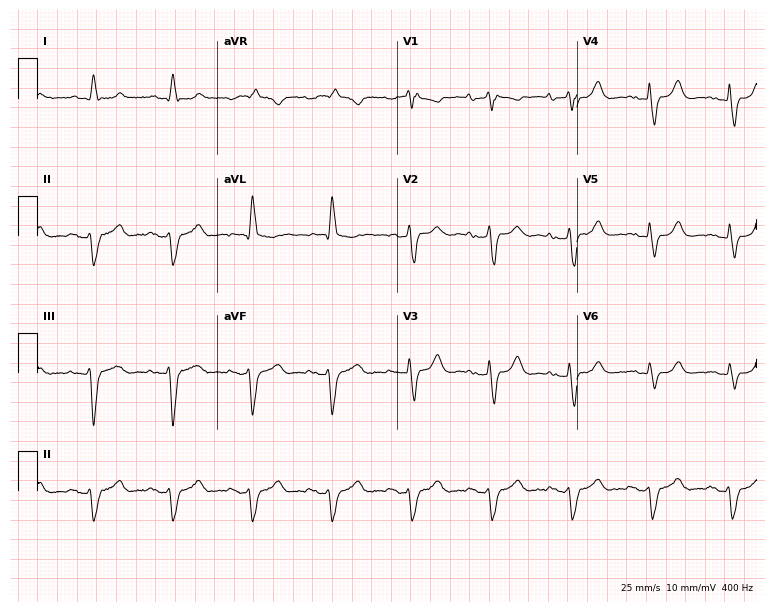
Electrocardiogram, a 67-year-old man. Interpretation includes left bundle branch block.